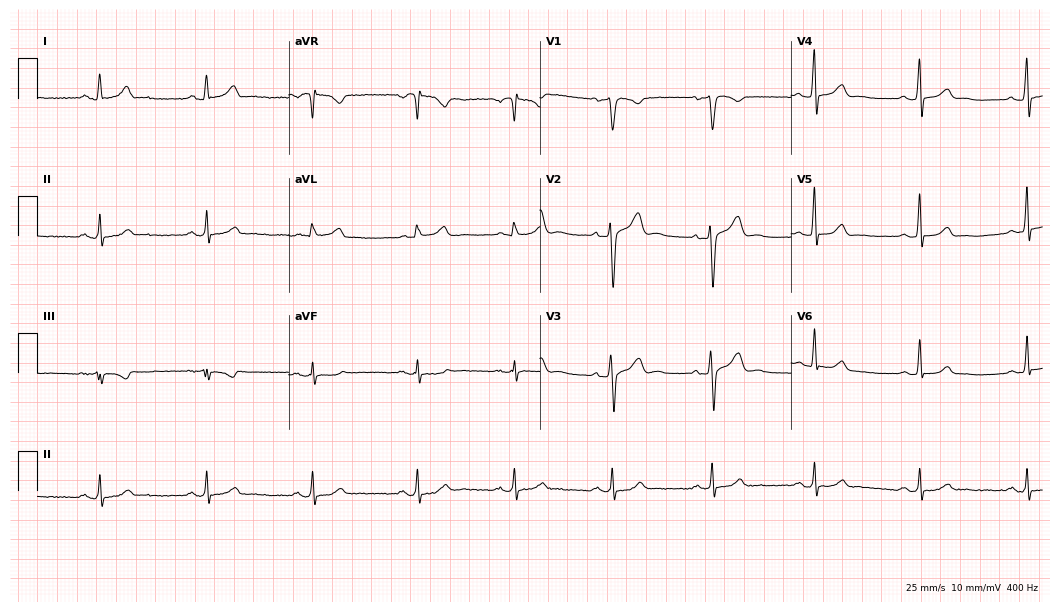
Electrocardiogram (10.2-second recording at 400 Hz), a man, 53 years old. Of the six screened findings (first-degree AV block, right bundle branch block, left bundle branch block, sinus bradycardia, atrial fibrillation, sinus tachycardia), none is recorded.